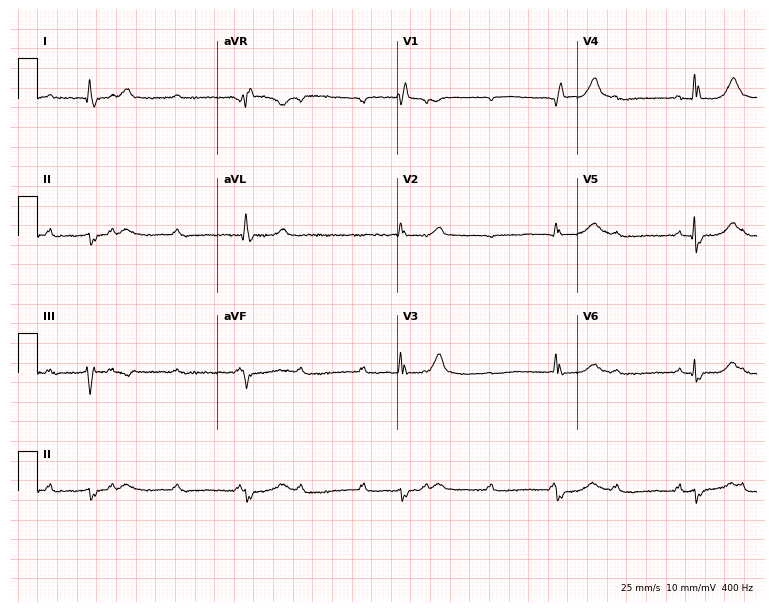
Electrocardiogram, a 73-year-old woman. Interpretation includes right bundle branch block (RBBB), sinus bradycardia (a sinus rate of 50 beats per minute or less), atrial fibrillation (AF).